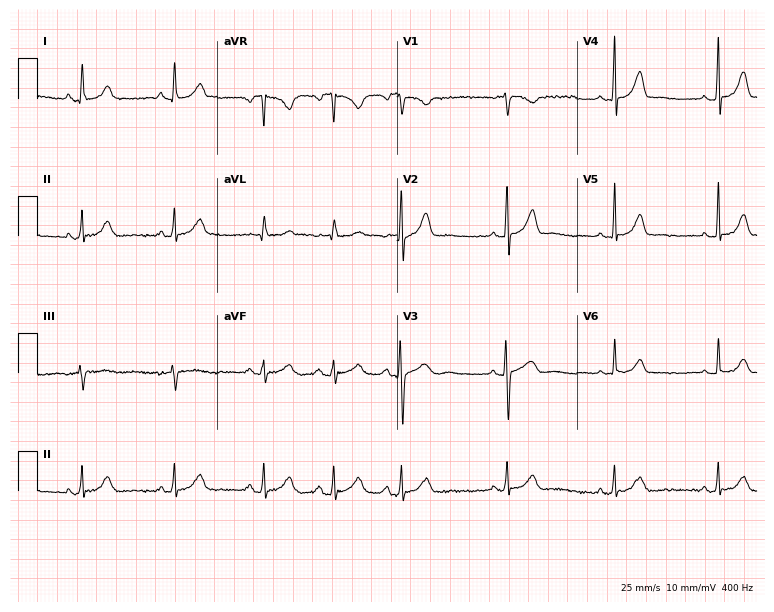
Electrocardiogram, a woman, 24 years old. Of the six screened findings (first-degree AV block, right bundle branch block (RBBB), left bundle branch block (LBBB), sinus bradycardia, atrial fibrillation (AF), sinus tachycardia), none is recorded.